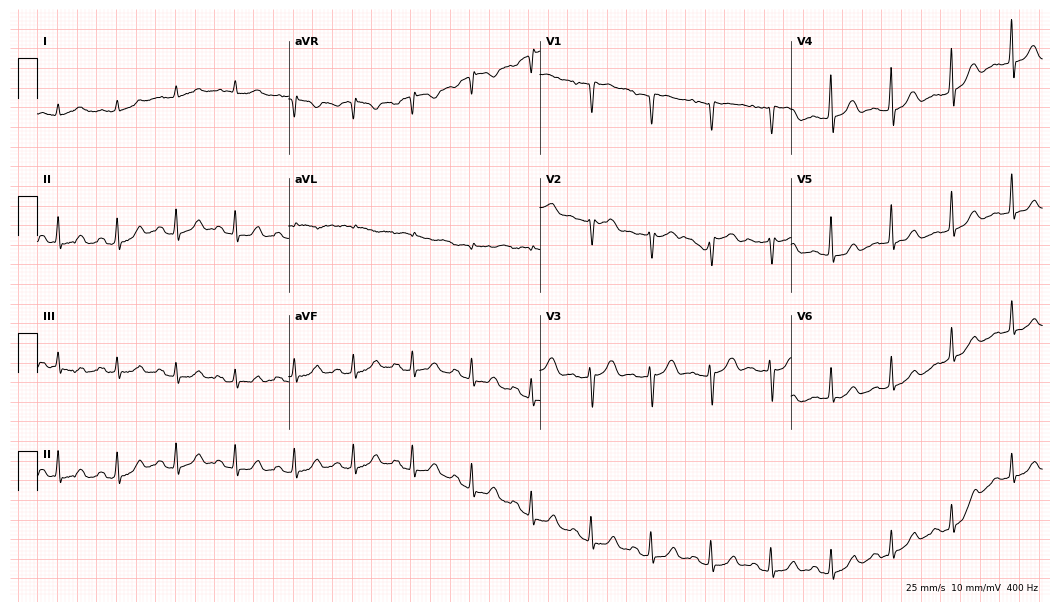
ECG — a male, 84 years old. Labelled as a normal ECG.